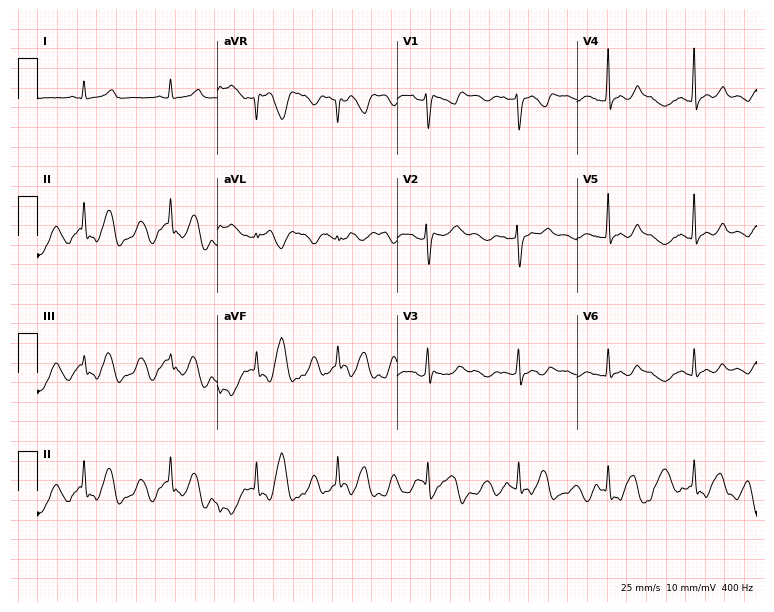
Standard 12-lead ECG recorded from a 32-year-old female. None of these six findings is recorded: first-degree AV block, right bundle branch block, left bundle branch block, sinus bradycardia, atrial fibrillation, sinus tachycardia. Findings outside these six are not listed.